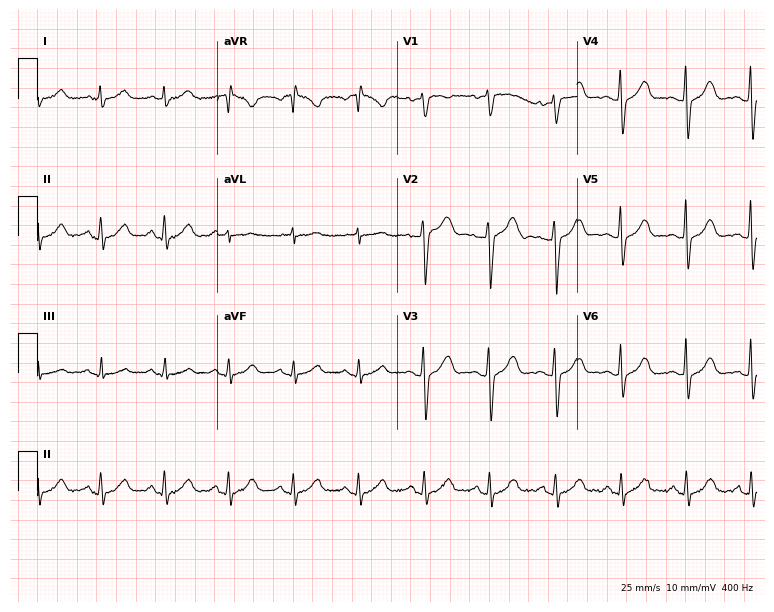
12-lead ECG from a 44-year-old female patient (7.3-second recording at 400 Hz). No first-degree AV block, right bundle branch block (RBBB), left bundle branch block (LBBB), sinus bradycardia, atrial fibrillation (AF) or sinus tachycardia recorded for this tracing.